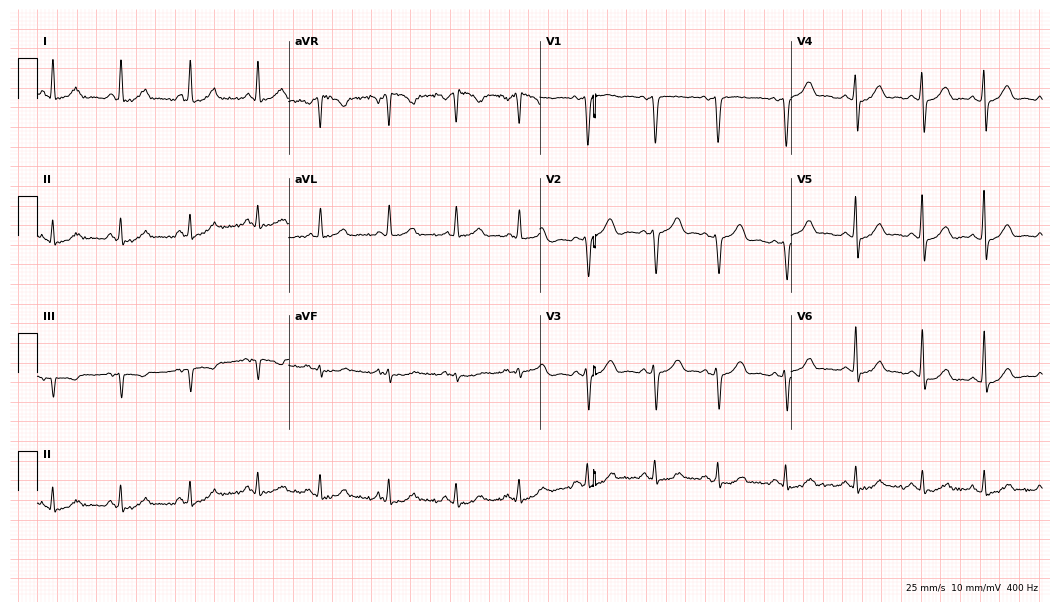
Resting 12-lead electrocardiogram. Patient: a 39-year-old female. Read as a normal ECG.